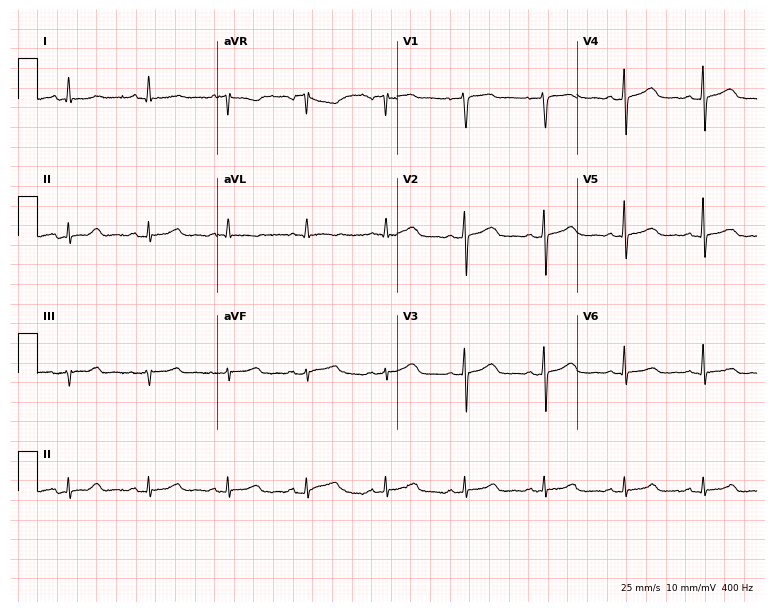
12-lead ECG (7.3-second recording at 400 Hz) from a 58-year-old female patient. Screened for six findings — first-degree AV block, right bundle branch block, left bundle branch block, sinus bradycardia, atrial fibrillation, sinus tachycardia — none is recorded.